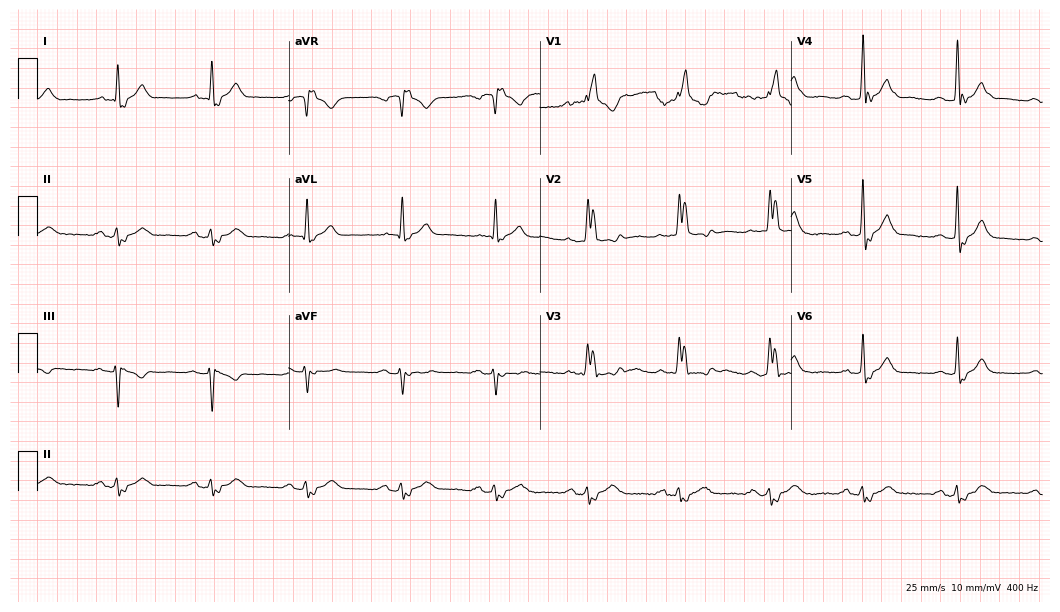
12-lead ECG (10.2-second recording at 400 Hz) from a 71-year-old male patient. Screened for six findings — first-degree AV block, right bundle branch block, left bundle branch block, sinus bradycardia, atrial fibrillation, sinus tachycardia — none is recorded.